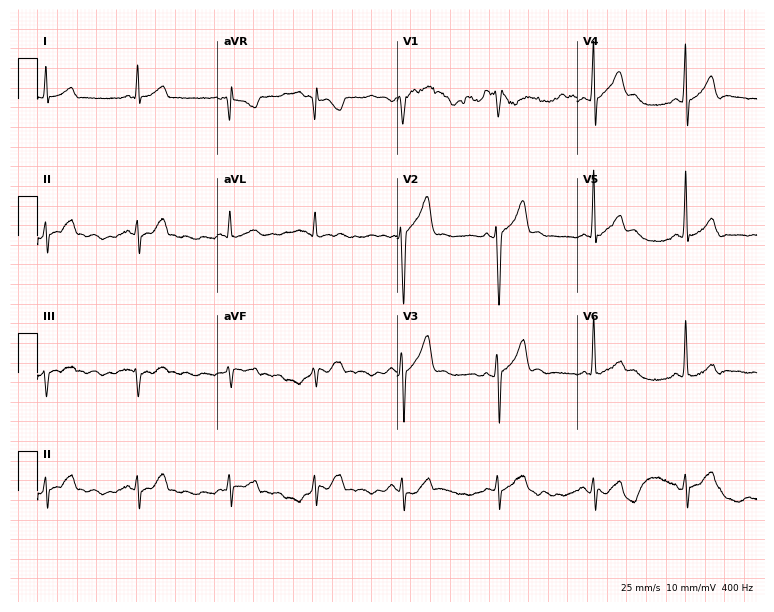
Standard 12-lead ECG recorded from a male patient, 28 years old. None of these six findings is recorded: first-degree AV block, right bundle branch block, left bundle branch block, sinus bradycardia, atrial fibrillation, sinus tachycardia.